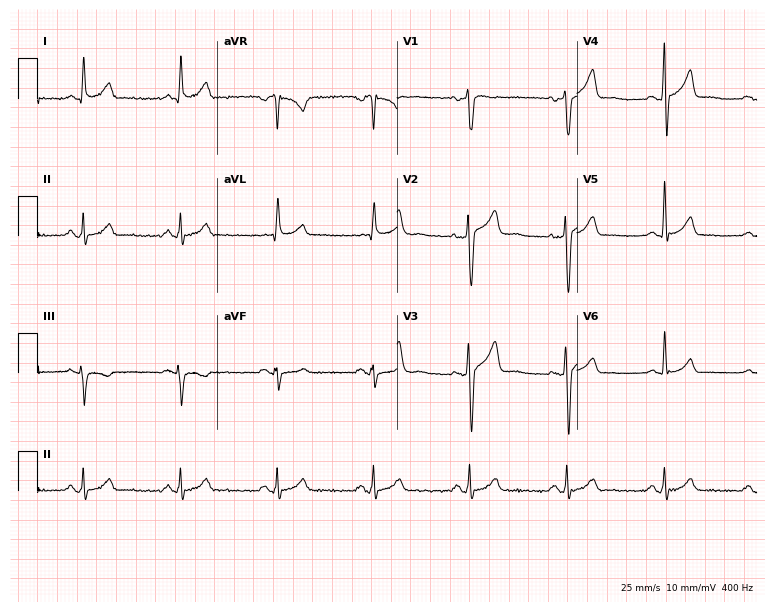
12-lead ECG from a 59-year-old man. Recorded interpretation: within normal limits.